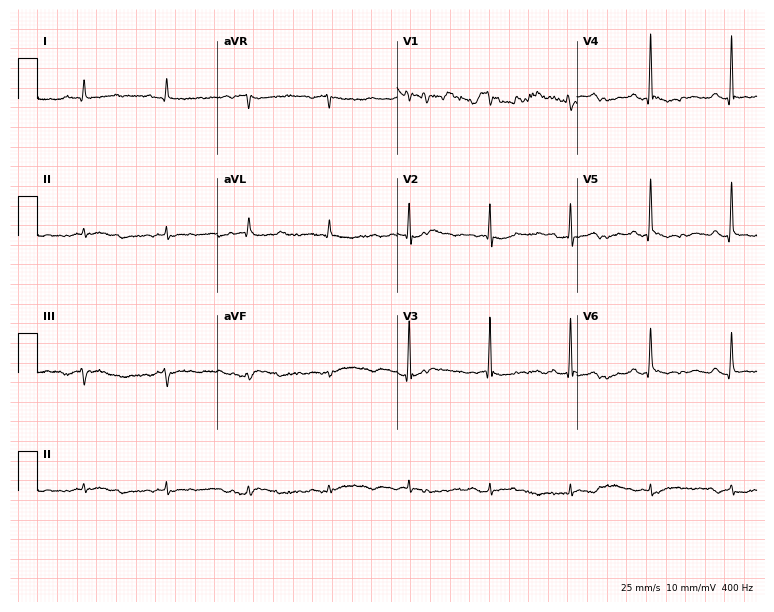
Electrocardiogram, a man, 68 years old. Of the six screened findings (first-degree AV block, right bundle branch block, left bundle branch block, sinus bradycardia, atrial fibrillation, sinus tachycardia), none is recorded.